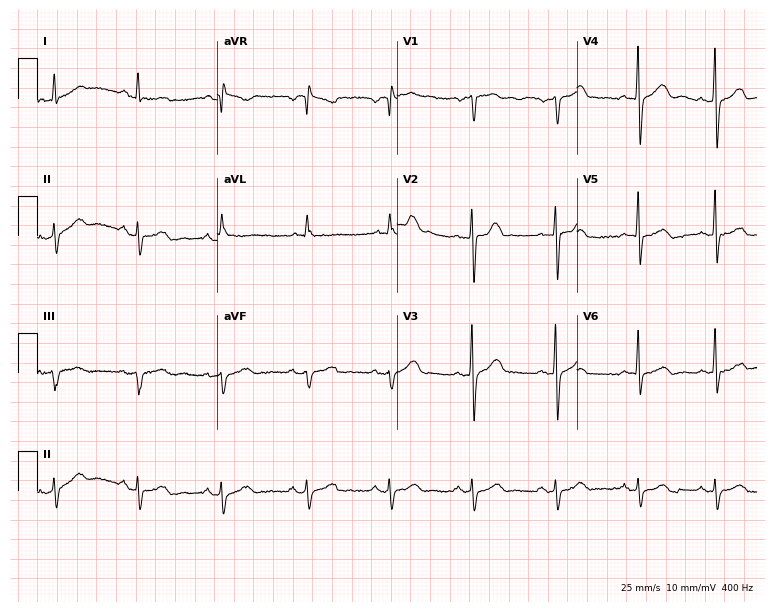
12-lead ECG from a 58-year-old man (7.3-second recording at 400 Hz). Recorded interpretation: within normal limits.